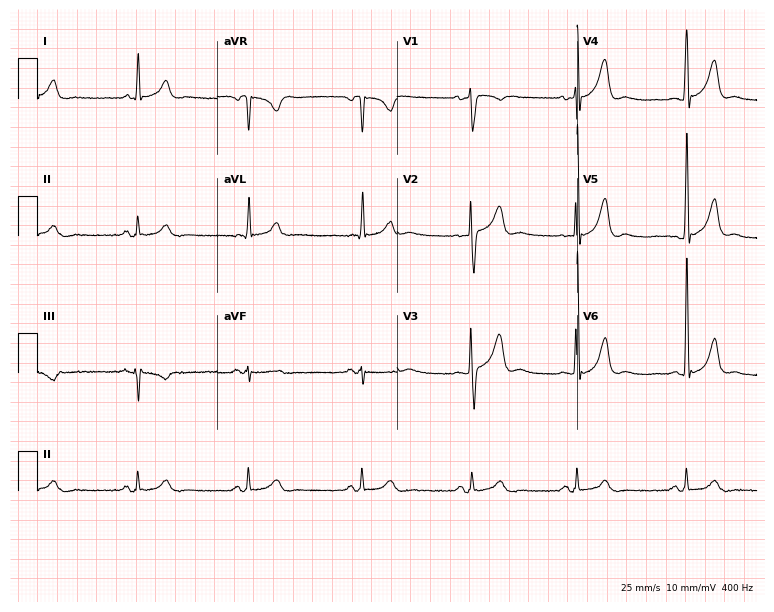
12-lead ECG (7.3-second recording at 400 Hz) from a 35-year-old male patient. Screened for six findings — first-degree AV block, right bundle branch block (RBBB), left bundle branch block (LBBB), sinus bradycardia, atrial fibrillation (AF), sinus tachycardia — none is recorded.